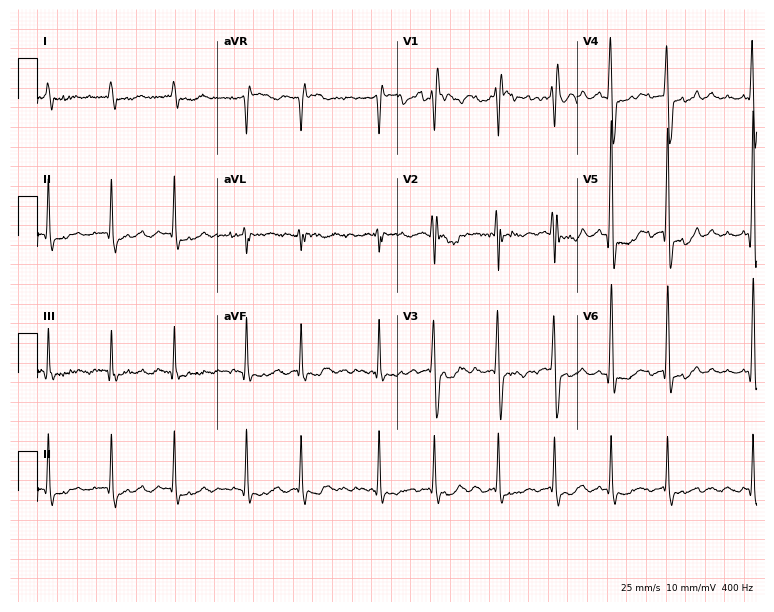
ECG (7.3-second recording at 400 Hz) — an 80-year-old female patient. Findings include right bundle branch block (RBBB), atrial fibrillation (AF).